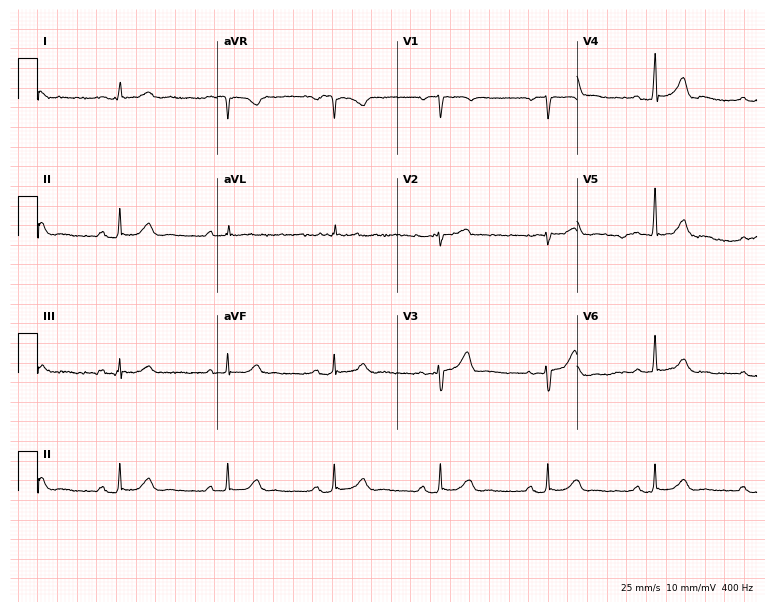
ECG (7.3-second recording at 400 Hz) — a 78-year-old man. Labelled as a normal ECG.